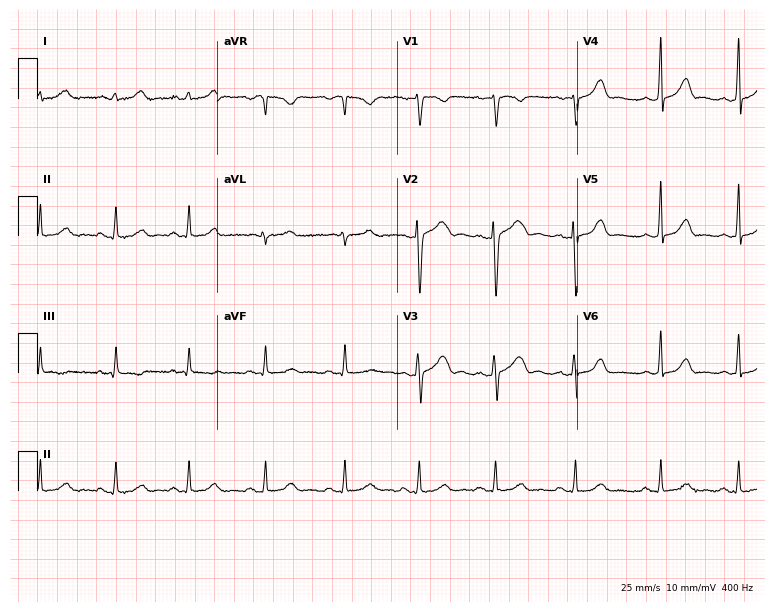
ECG — a woman, 25 years old. Labelled as a normal ECG.